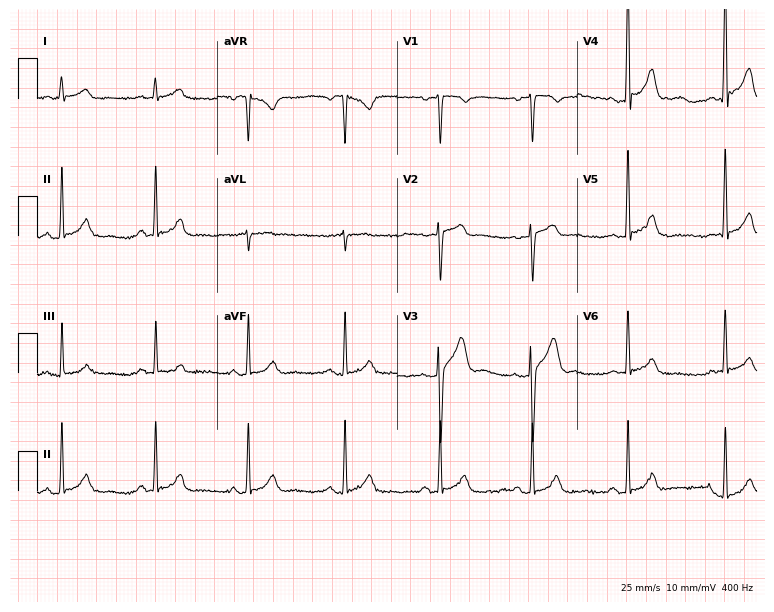
12-lead ECG (7.3-second recording at 400 Hz) from a male patient, 50 years old. Screened for six findings — first-degree AV block, right bundle branch block, left bundle branch block, sinus bradycardia, atrial fibrillation, sinus tachycardia — none is recorded. Findings outside these six are not listed.